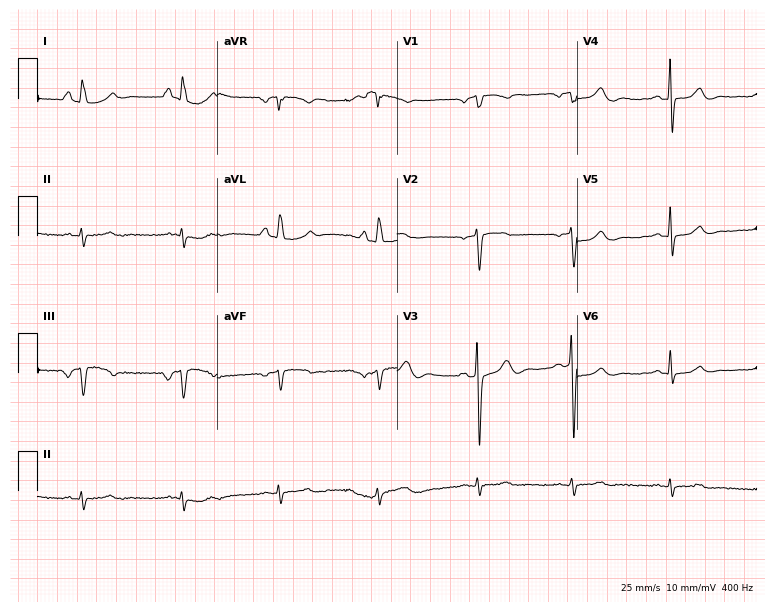
Standard 12-lead ECG recorded from a 73-year-old man (7.3-second recording at 400 Hz). None of these six findings is recorded: first-degree AV block, right bundle branch block, left bundle branch block, sinus bradycardia, atrial fibrillation, sinus tachycardia.